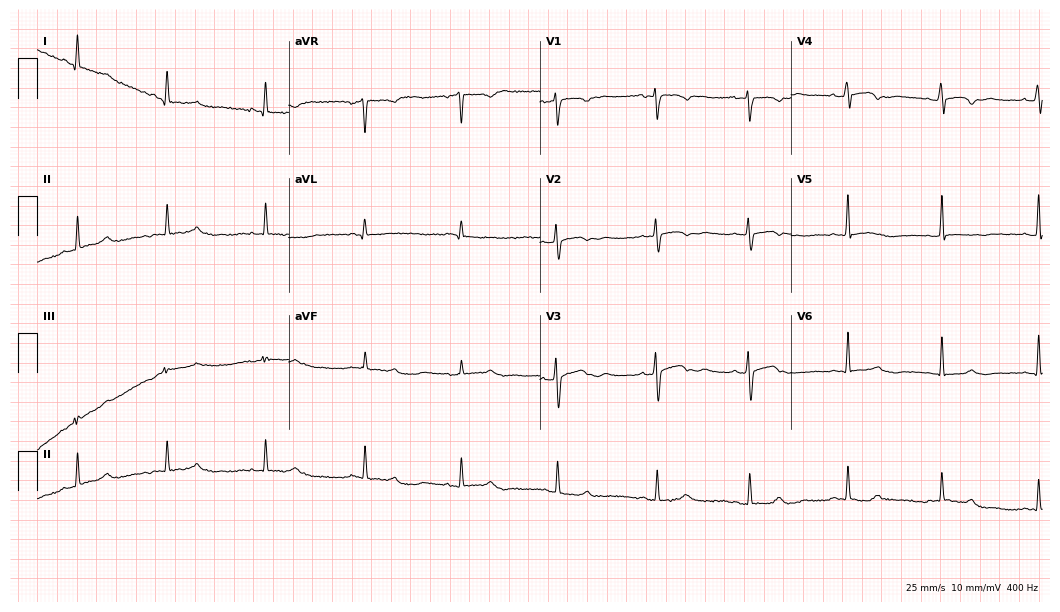
12-lead ECG from a 20-year-old woman. No first-degree AV block, right bundle branch block (RBBB), left bundle branch block (LBBB), sinus bradycardia, atrial fibrillation (AF) or sinus tachycardia recorded for this tracing.